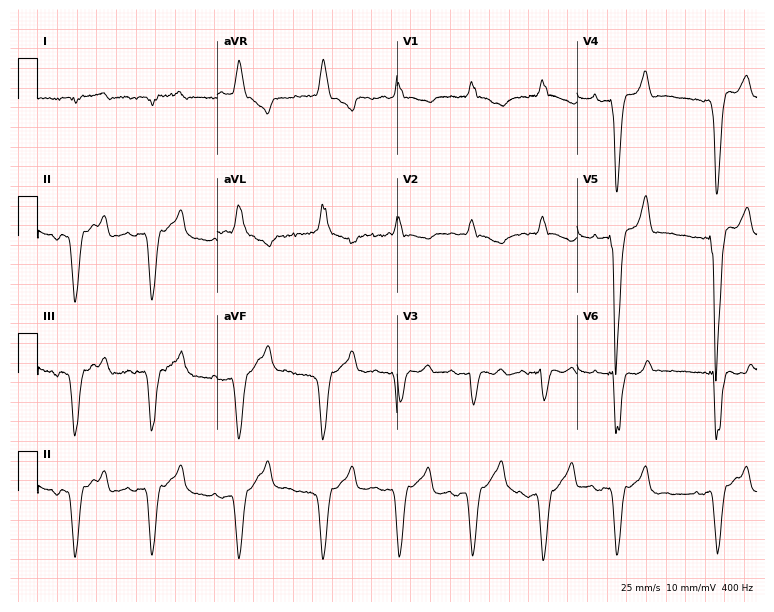
12-lead ECG (7.3-second recording at 400 Hz) from a woman, 82 years old. Screened for six findings — first-degree AV block, right bundle branch block, left bundle branch block, sinus bradycardia, atrial fibrillation, sinus tachycardia — none is recorded.